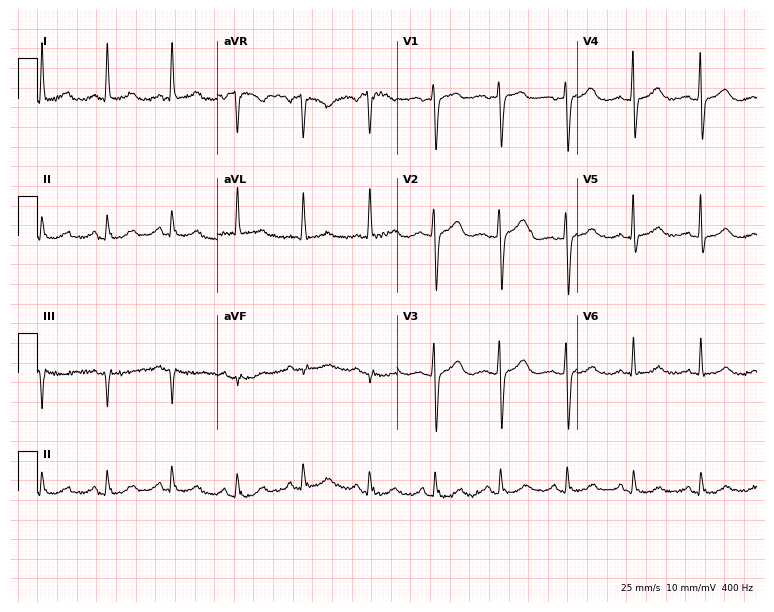
Standard 12-lead ECG recorded from a female, 76 years old (7.3-second recording at 400 Hz). Read as a normal ECG.